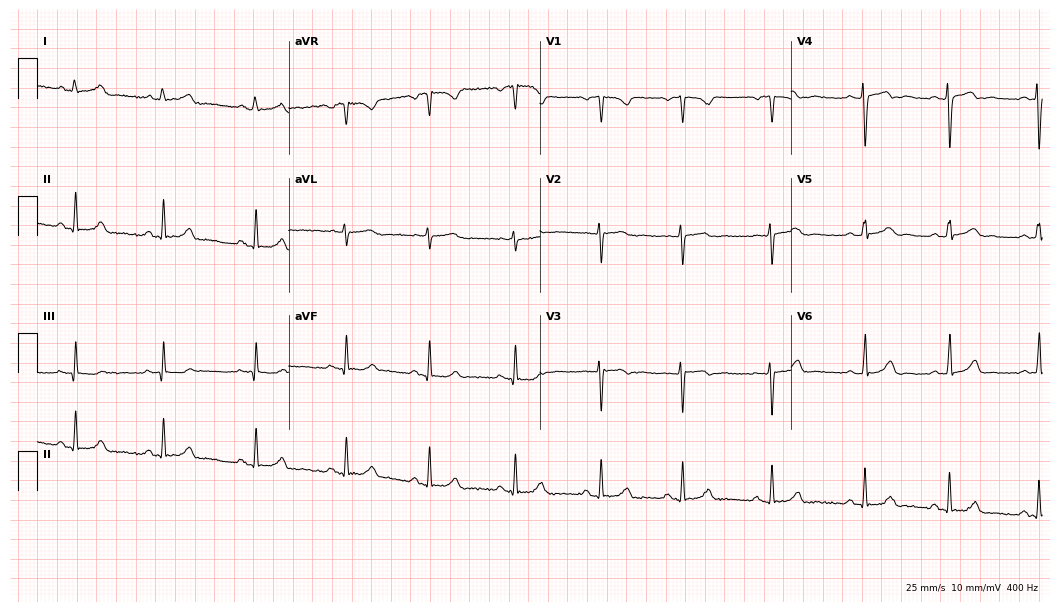
12-lead ECG from a female patient, 18 years old. Labelled as a normal ECG.